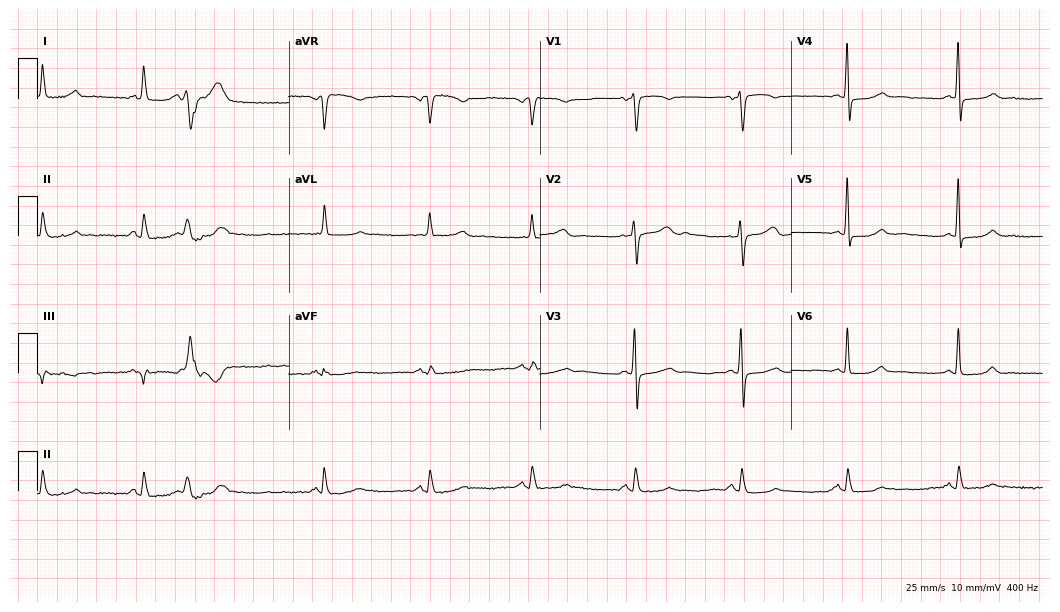
ECG — a woman, 64 years old. Screened for six findings — first-degree AV block, right bundle branch block, left bundle branch block, sinus bradycardia, atrial fibrillation, sinus tachycardia — none is recorded.